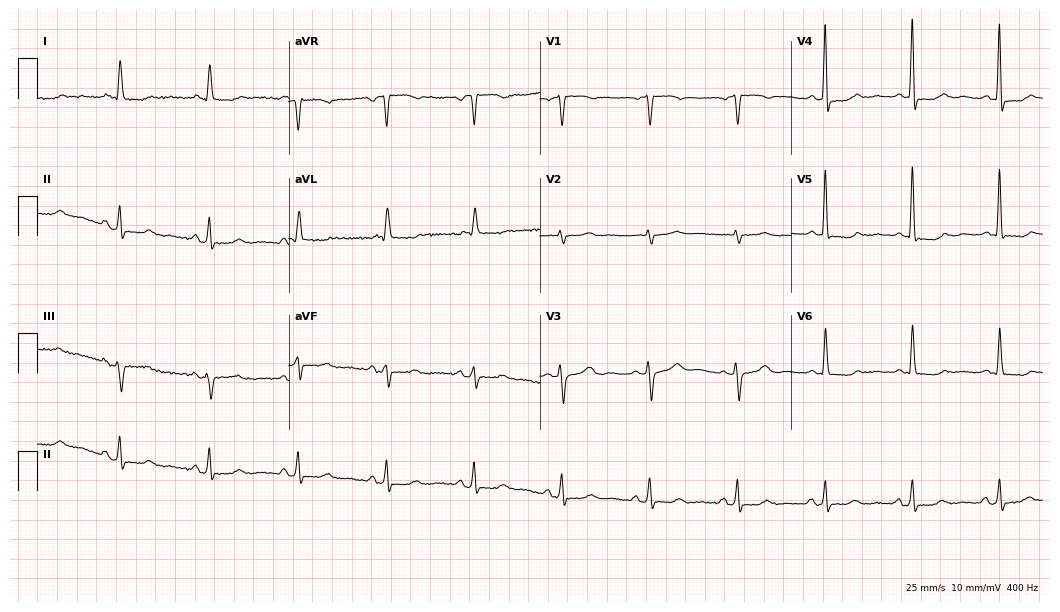
Standard 12-lead ECG recorded from a 75-year-old woman. None of these six findings is recorded: first-degree AV block, right bundle branch block (RBBB), left bundle branch block (LBBB), sinus bradycardia, atrial fibrillation (AF), sinus tachycardia.